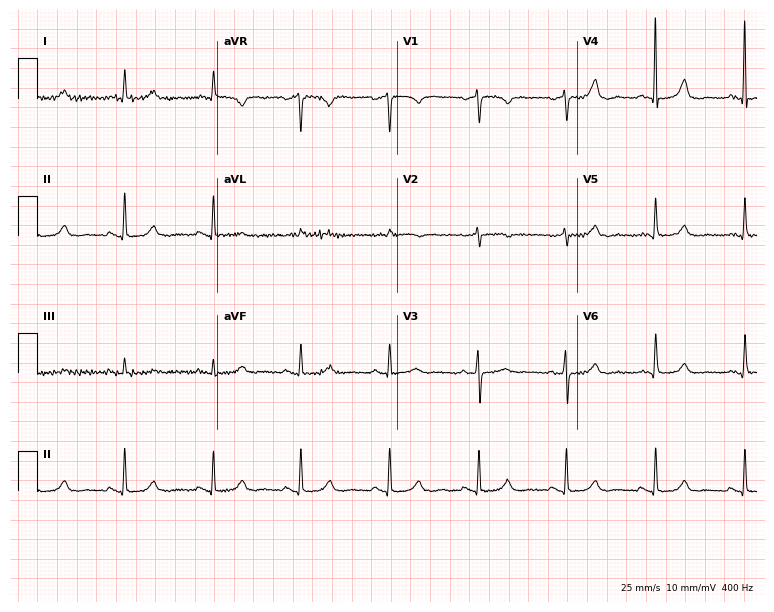
12-lead ECG from a woman, 86 years old. Labelled as a normal ECG.